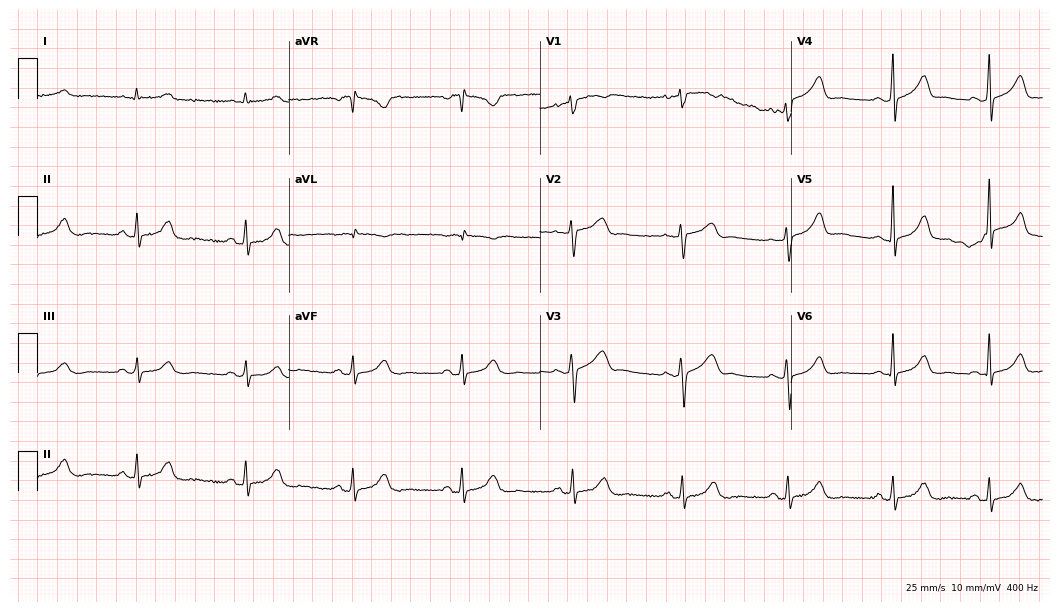
Electrocardiogram, a 48-year-old female. Overall reading on record: normal ECG.